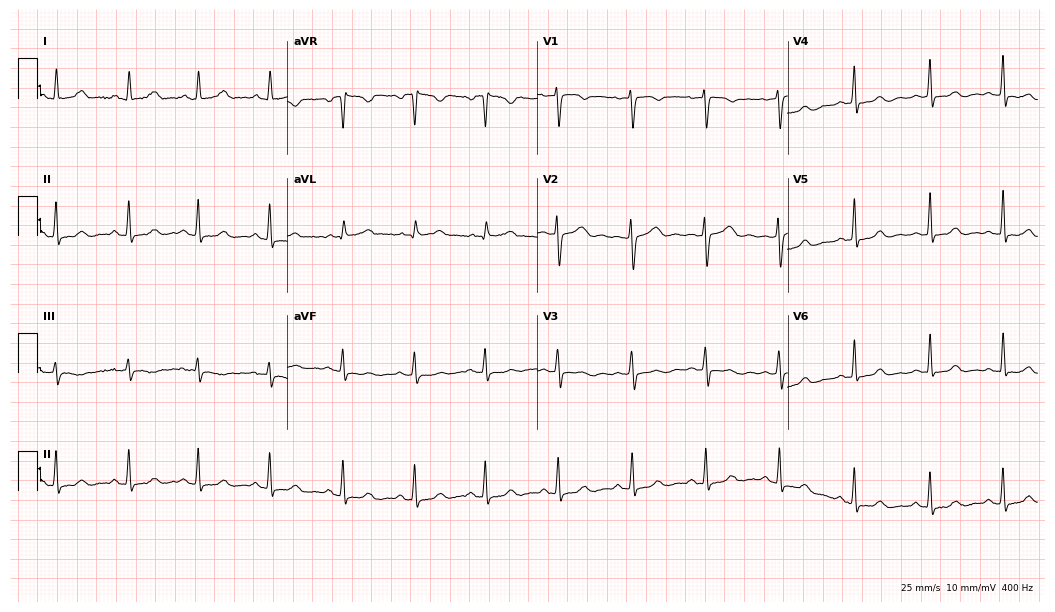
Electrocardiogram (10.2-second recording at 400 Hz), a 43-year-old woman. Overall reading on record: normal ECG.